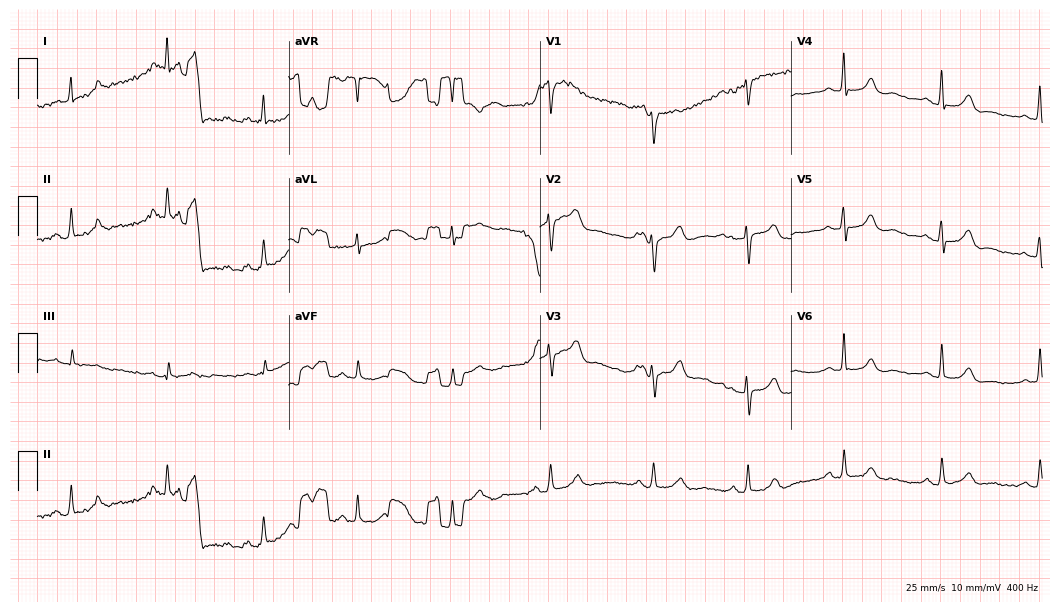
Resting 12-lead electrocardiogram. Patient: a 71-year-old woman. Read as a normal ECG.